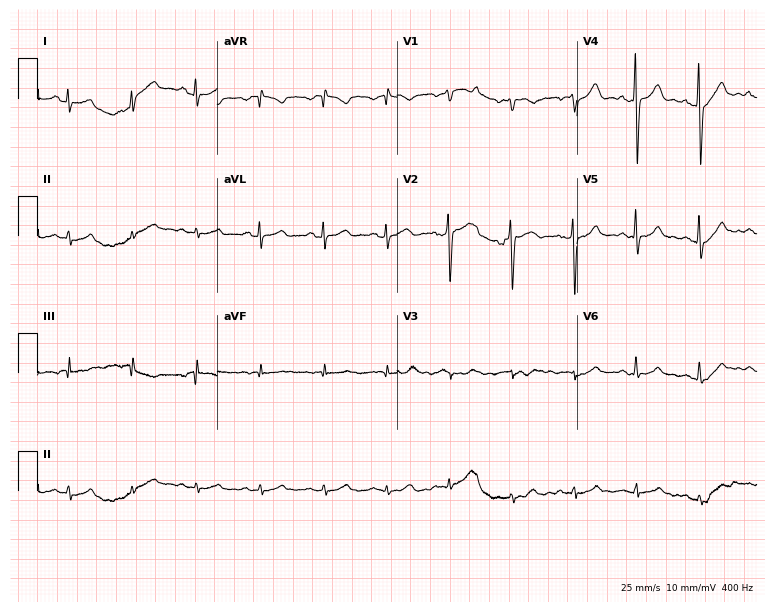
12-lead ECG from a 46-year-old man. Labelled as a normal ECG.